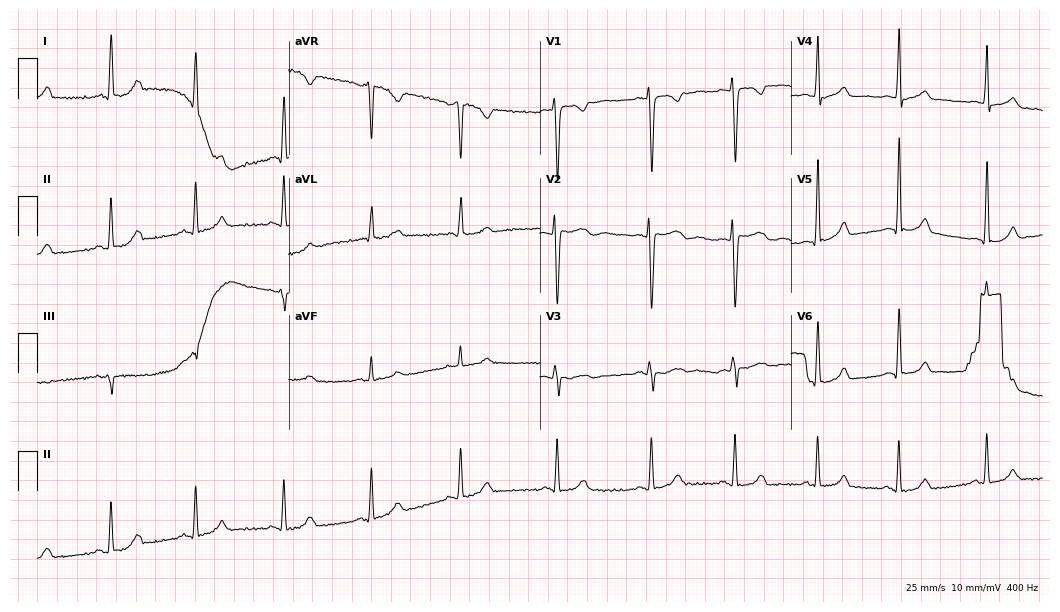
12-lead ECG from a 28-year-old male patient. Recorded interpretation: within normal limits.